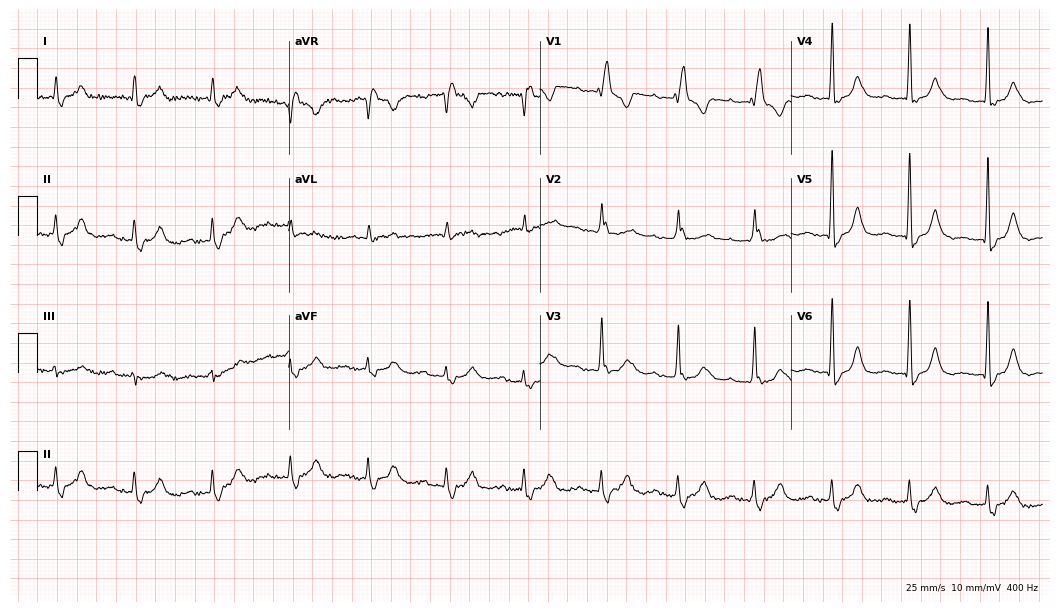
Standard 12-lead ECG recorded from a male patient, 84 years old (10.2-second recording at 400 Hz). The tracing shows first-degree AV block, right bundle branch block.